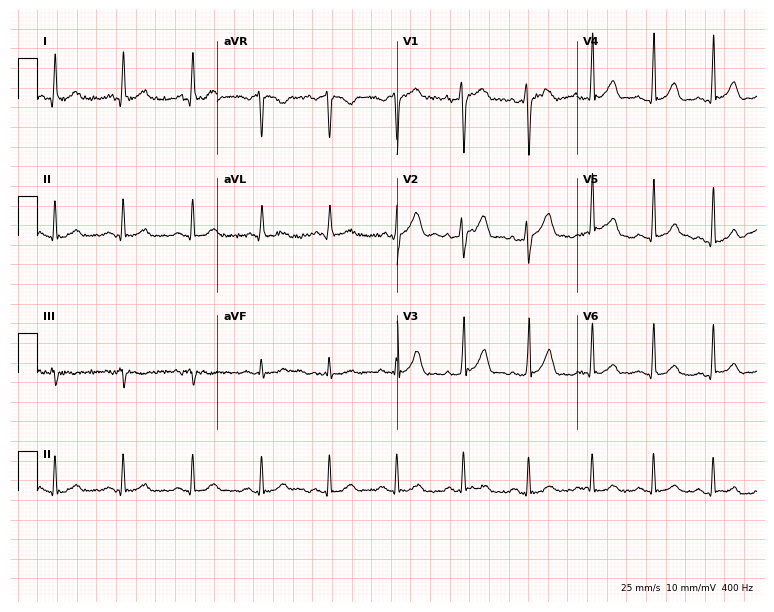
Standard 12-lead ECG recorded from a man, 49 years old (7.3-second recording at 400 Hz). Read as a normal ECG.